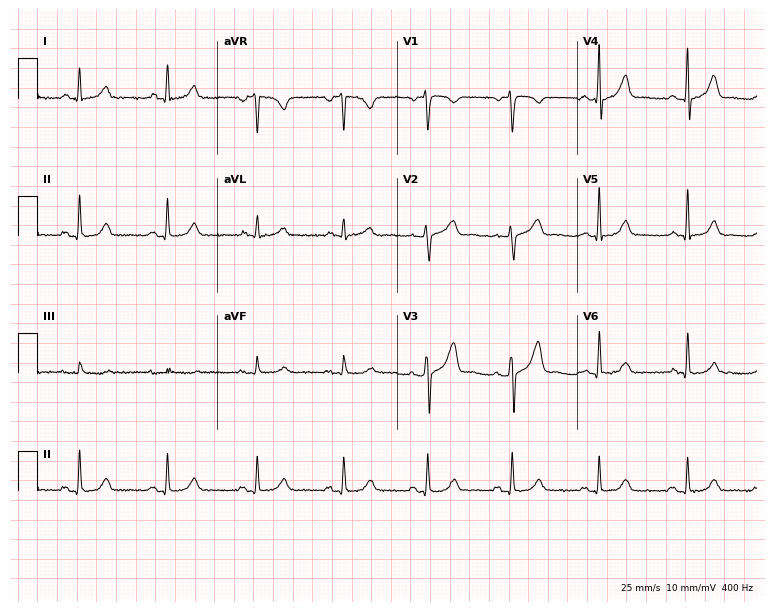
ECG (7.3-second recording at 400 Hz) — a woman, 41 years old. Screened for six findings — first-degree AV block, right bundle branch block, left bundle branch block, sinus bradycardia, atrial fibrillation, sinus tachycardia — none is recorded. Only these six findings were labelled.